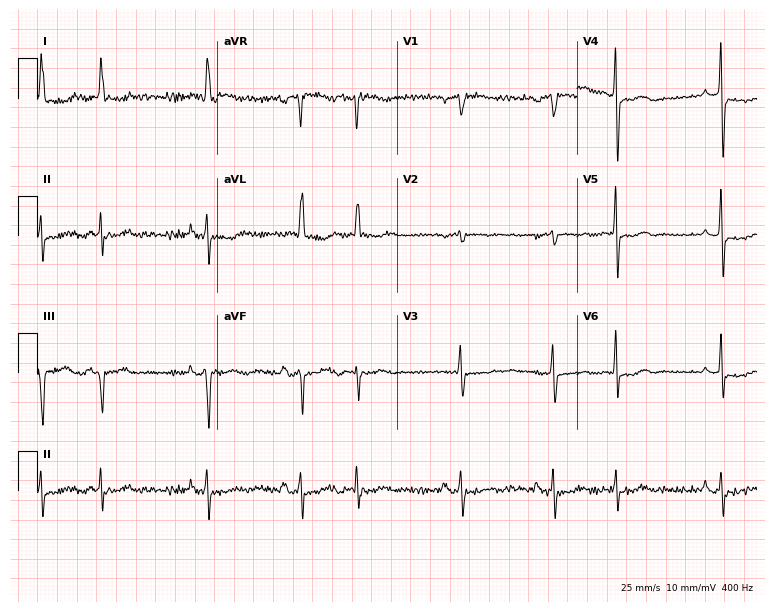
Standard 12-lead ECG recorded from a woman, 75 years old (7.3-second recording at 400 Hz). None of these six findings is recorded: first-degree AV block, right bundle branch block, left bundle branch block, sinus bradycardia, atrial fibrillation, sinus tachycardia. Other findings, if any, are not listed.